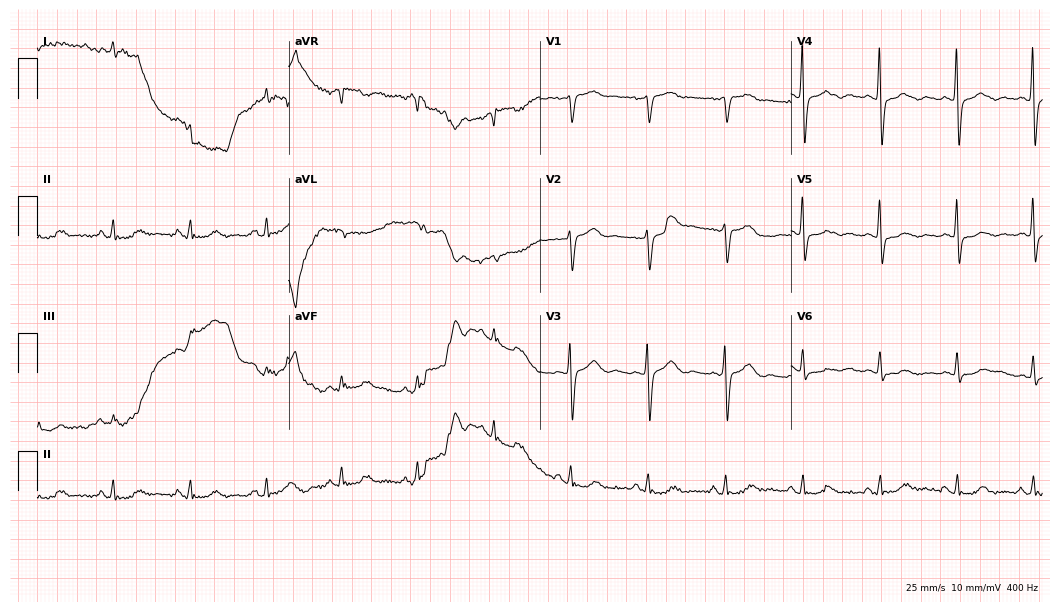
Electrocardiogram, an 85-year-old female. Of the six screened findings (first-degree AV block, right bundle branch block, left bundle branch block, sinus bradycardia, atrial fibrillation, sinus tachycardia), none is recorded.